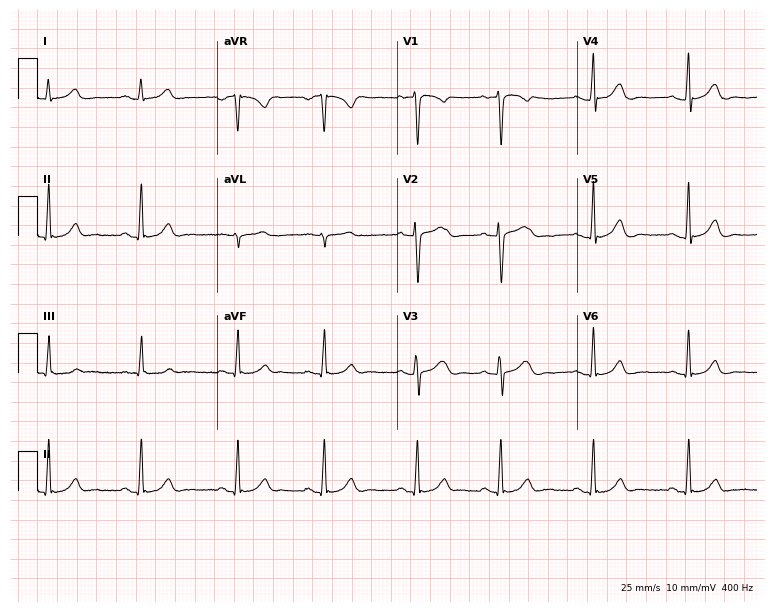
Electrocardiogram, a woman, 21 years old. Overall reading on record: normal ECG.